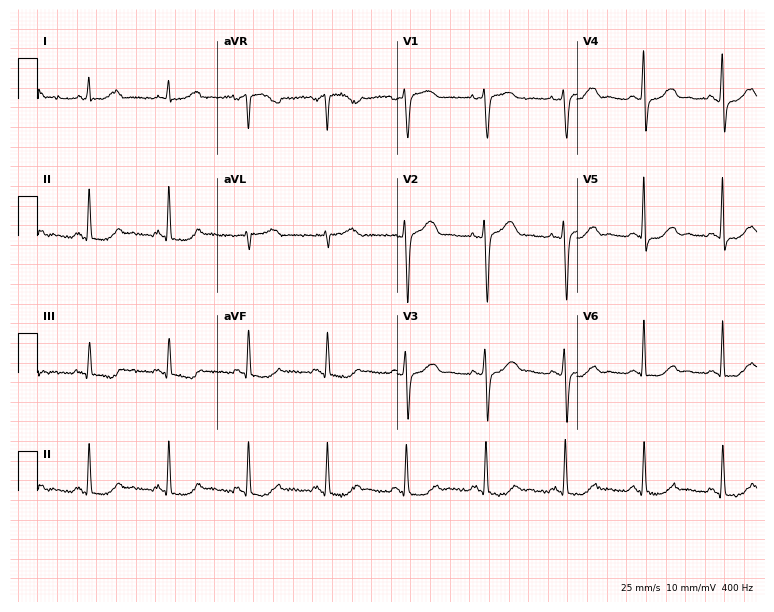
ECG — a female patient, 63 years old. Labelled as a normal ECG.